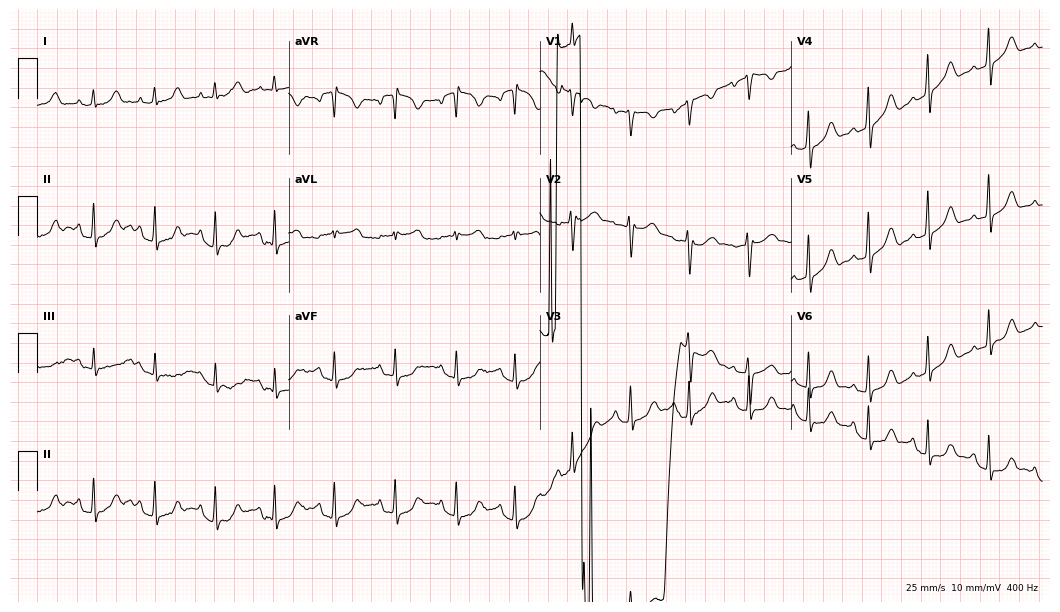
Electrocardiogram, a 41-year-old female. Of the six screened findings (first-degree AV block, right bundle branch block, left bundle branch block, sinus bradycardia, atrial fibrillation, sinus tachycardia), none is recorded.